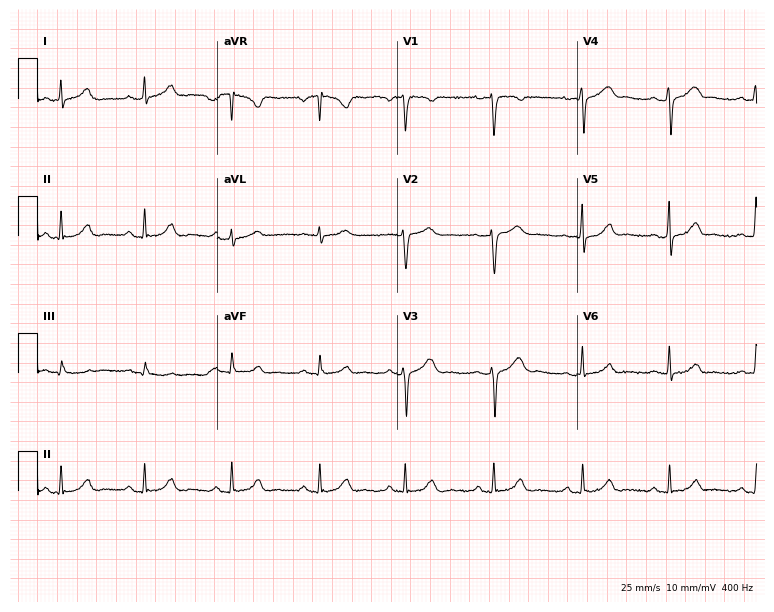
Standard 12-lead ECG recorded from a female, 37 years old. Read as a normal ECG.